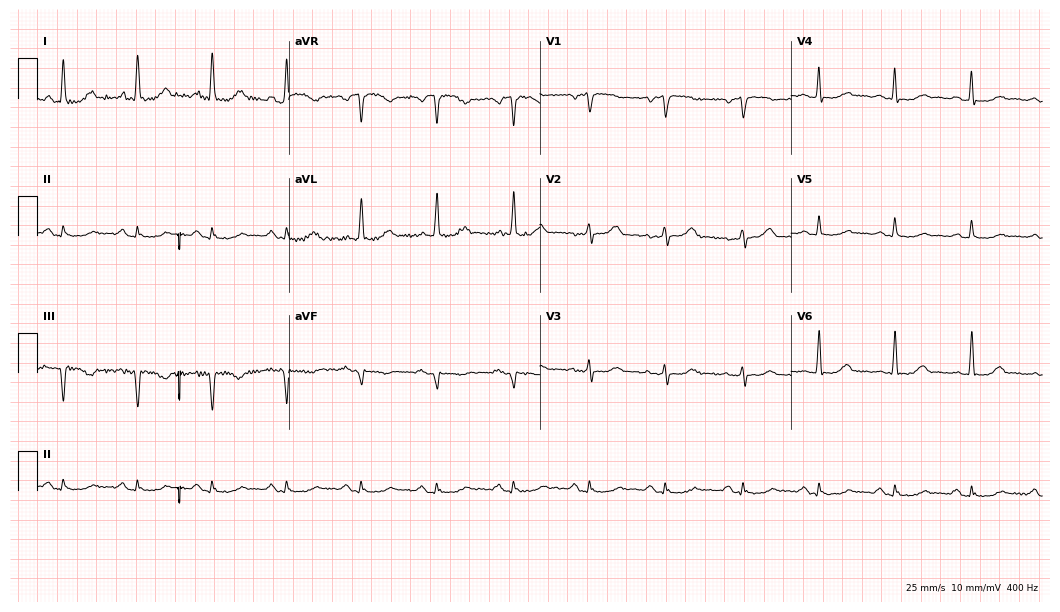
Electrocardiogram (10.2-second recording at 400 Hz), a 70-year-old woman. Of the six screened findings (first-degree AV block, right bundle branch block, left bundle branch block, sinus bradycardia, atrial fibrillation, sinus tachycardia), none is recorded.